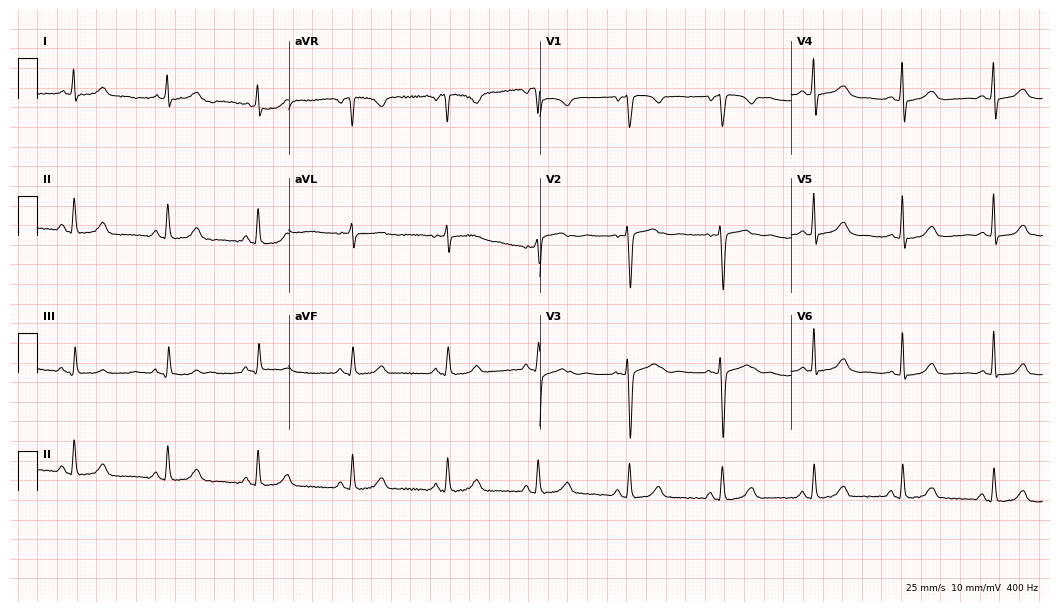
12-lead ECG from a female, 32 years old (10.2-second recording at 400 Hz). No first-degree AV block, right bundle branch block, left bundle branch block, sinus bradycardia, atrial fibrillation or sinus tachycardia recorded for this tracing. Other findings, if any, are not listed.